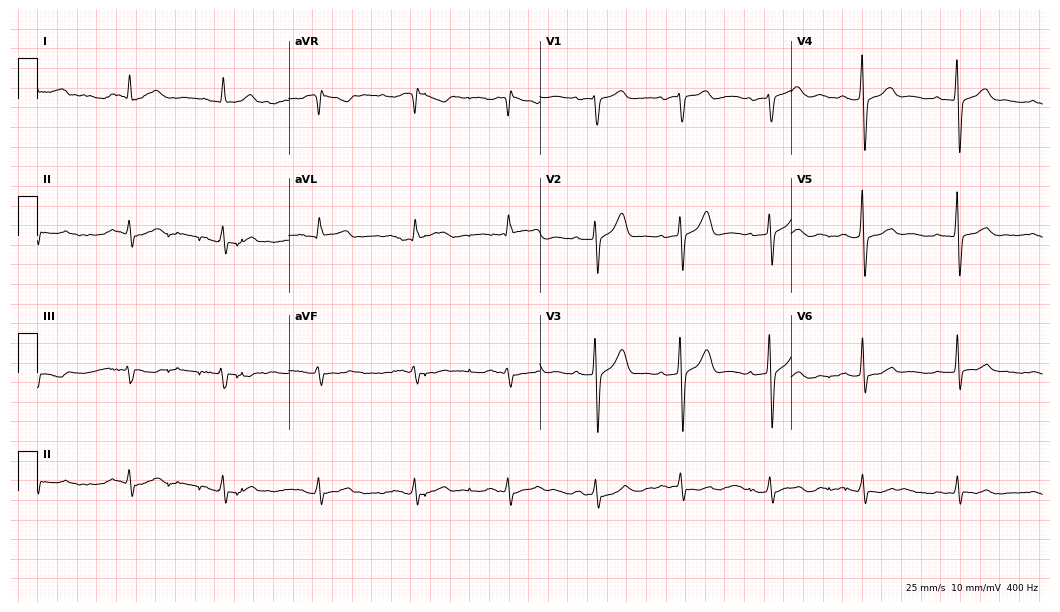
Resting 12-lead electrocardiogram. Patient: a 57-year-old male. None of these six findings is recorded: first-degree AV block, right bundle branch block, left bundle branch block, sinus bradycardia, atrial fibrillation, sinus tachycardia.